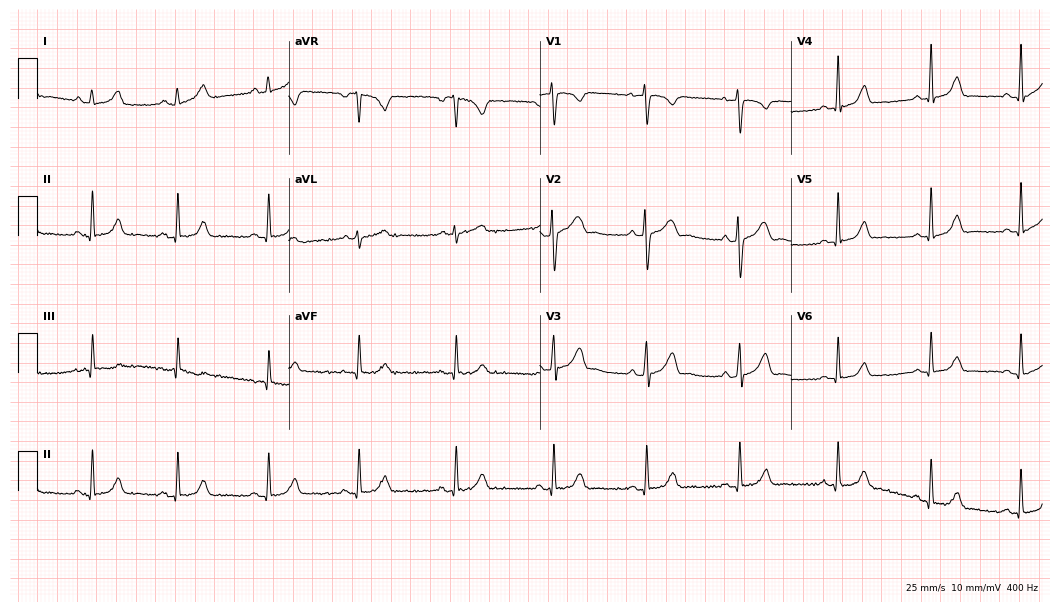
12-lead ECG from a 29-year-old female patient. Recorded interpretation: within normal limits.